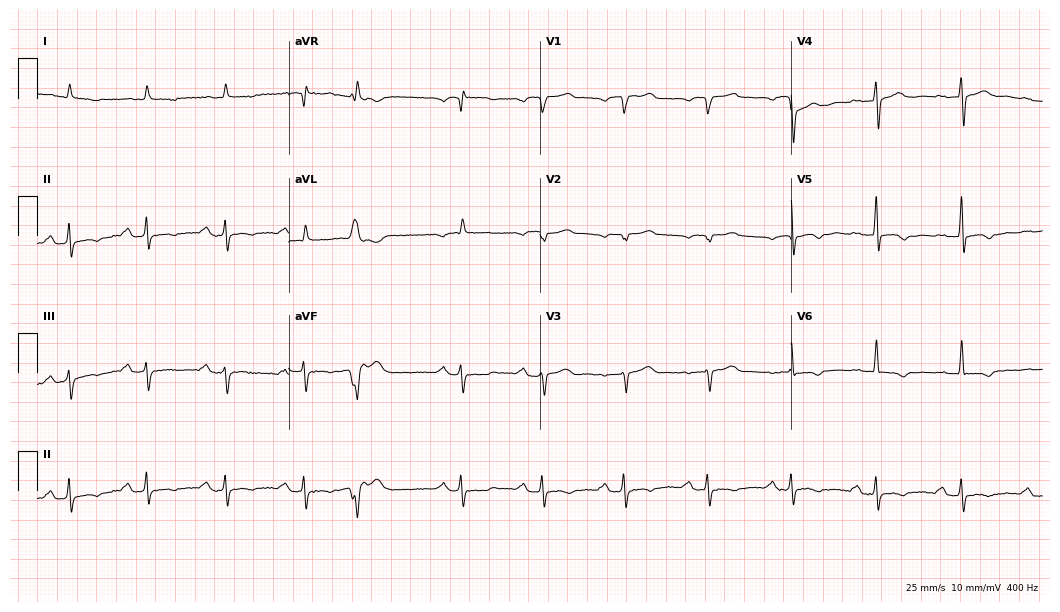
12-lead ECG from a 77-year-old female patient. Shows first-degree AV block.